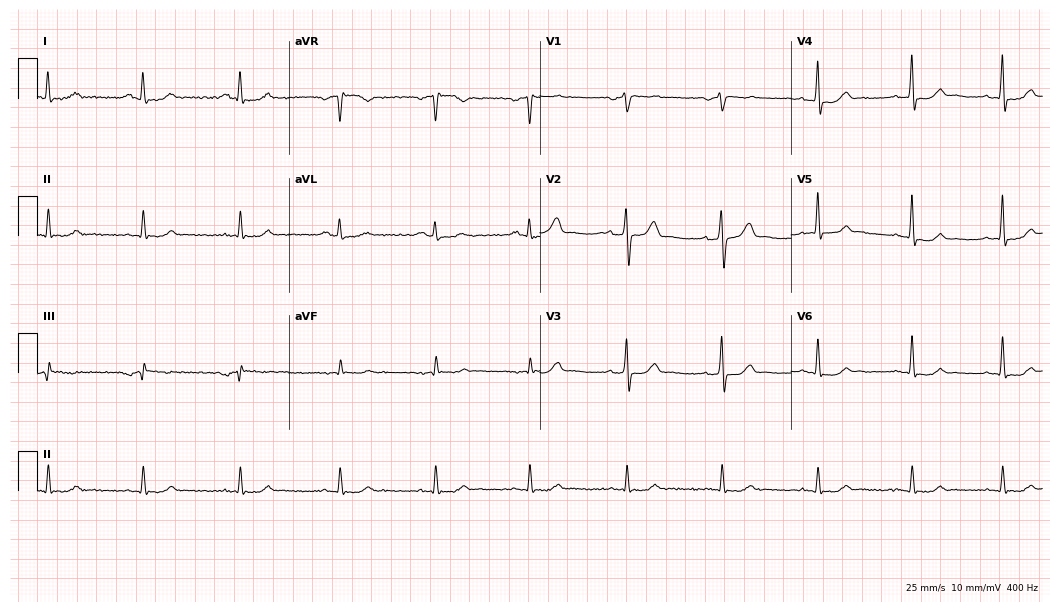
Electrocardiogram, a female, 58 years old. Of the six screened findings (first-degree AV block, right bundle branch block, left bundle branch block, sinus bradycardia, atrial fibrillation, sinus tachycardia), none is recorded. Only these six findings were labelled.